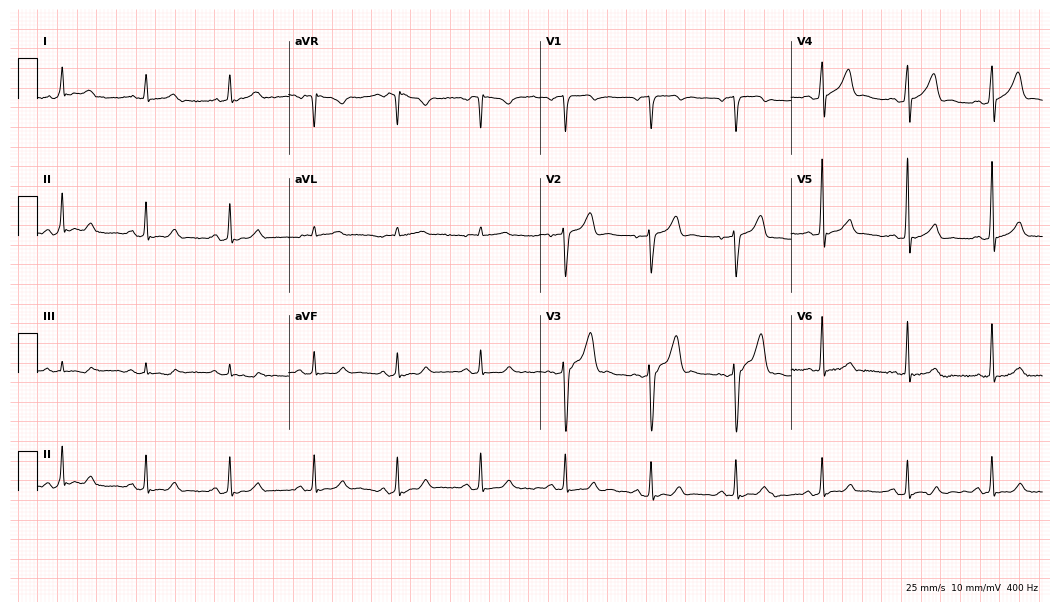
12-lead ECG (10.2-second recording at 400 Hz) from a male, 51 years old. Labelled as a normal ECG.